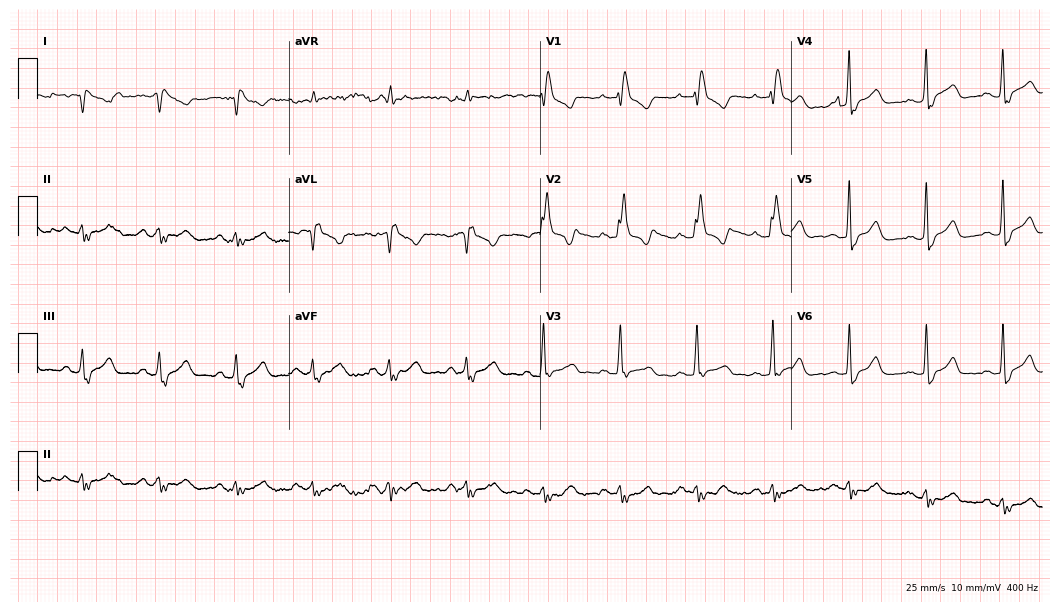
12-lead ECG from a male patient, 47 years old. No first-degree AV block, right bundle branch block (RBBB), left bundle branch block (LBBB), sinus bradycardia, atrial fibrillation (AF) or sinus tachycardia recorded for this tracing. Findings outside these six are not listed.